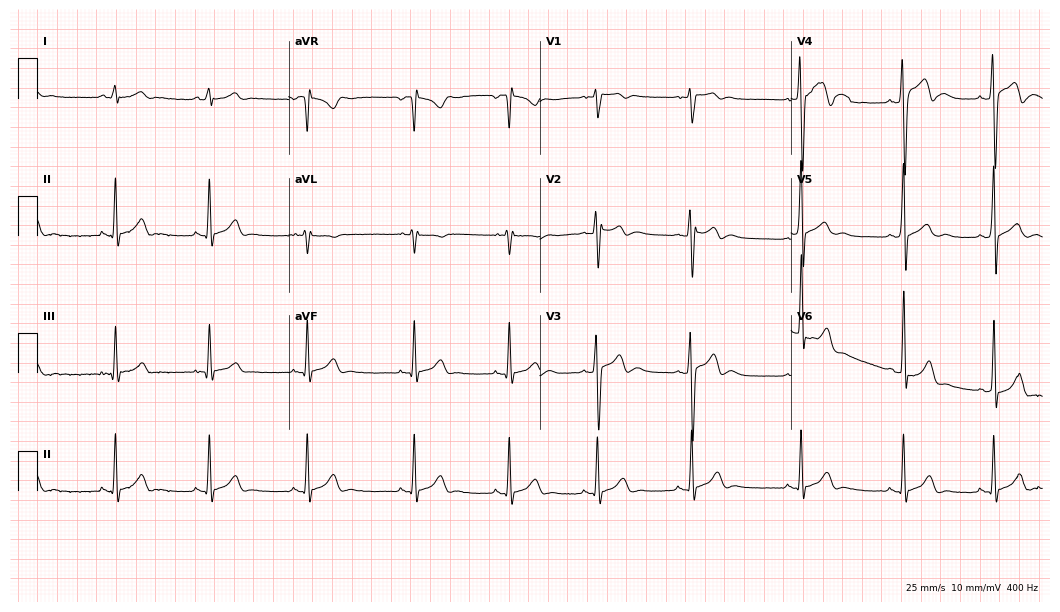
Resting 12-lead electrocardiogram (10.2-second recording at 400 Hz). Patient: a male, 17 years old. Read as a normal ECG.